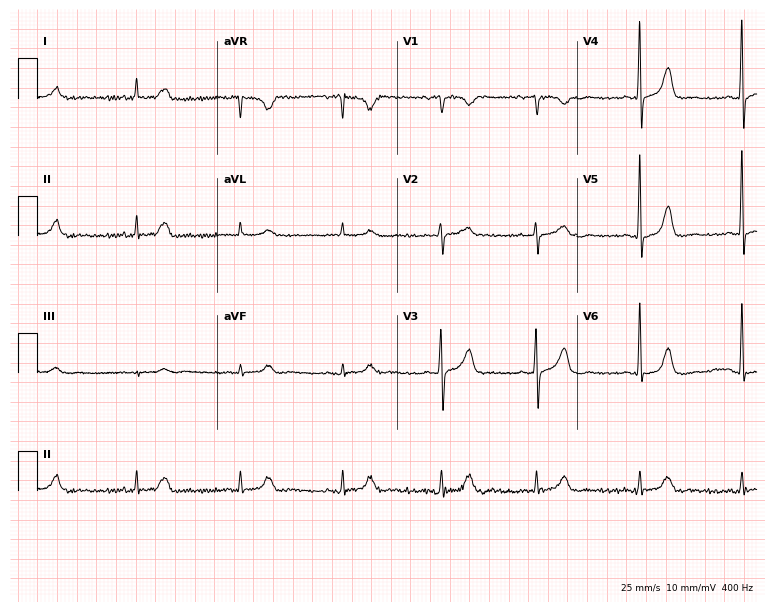
12-lead ECG from a 64-year-old female. Recorded interpretation: within normal limits.